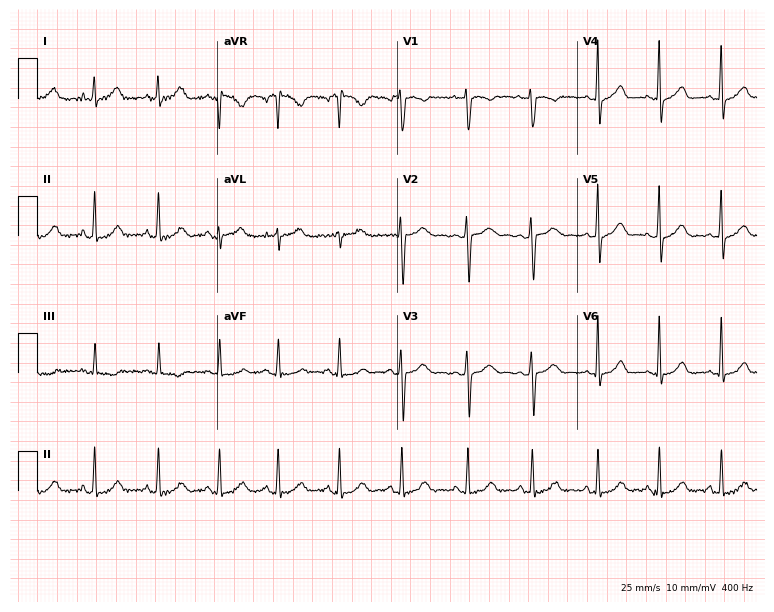
ECG — a female patient, 27 years old. Screened for six findings — first-degree AV block, right bundle branch block, left bundle branch block, sinus bradycardia, atrial fibrillation, sinus tachycardia — none is recorded. Other findings, if any, are not listed.